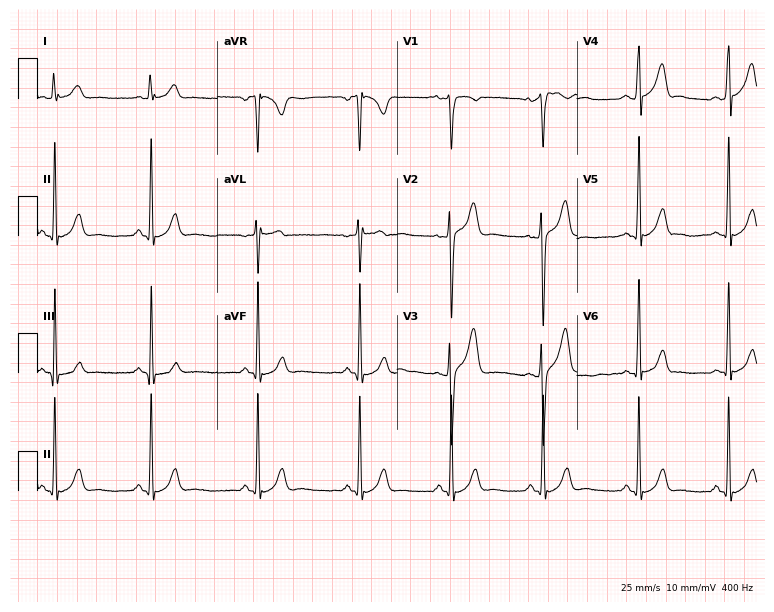
Standard 12-lead ECG recorded from a 19-year-old male. Read as a normal ECG.